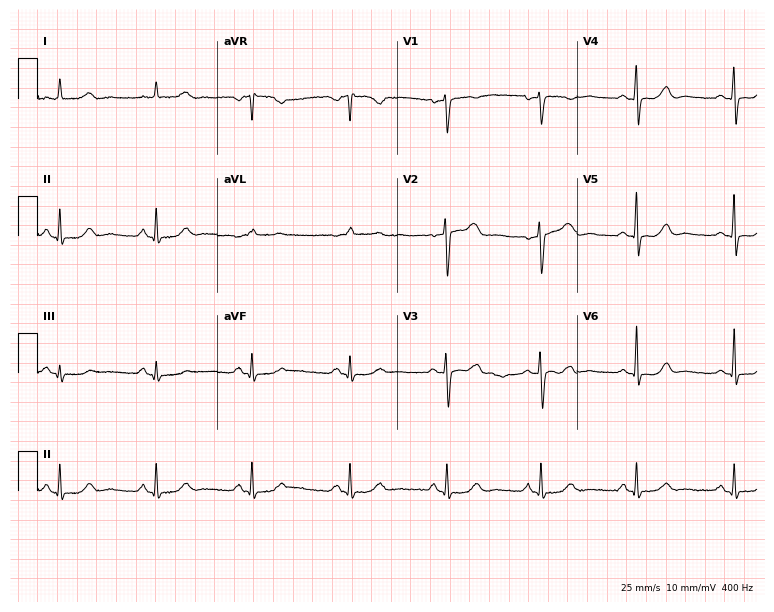
12-lead ECG from a female patient, 57 years old. Labelled as a normal ECG.